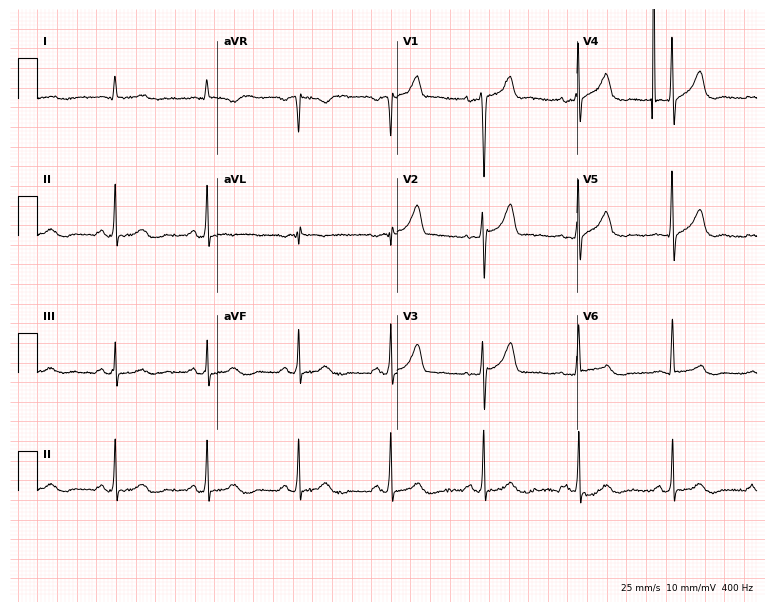
12-lead ECG (7.3-second recording at 400 Hz) from a male patient, 69 years old. Screened for six findings — first-degree AV block, right bundle branch block, left bundle branch block, sinus bradycardia, atrial fibrillation, sinus tachycardia — none is recorded. Other findings, if any, are not listed.